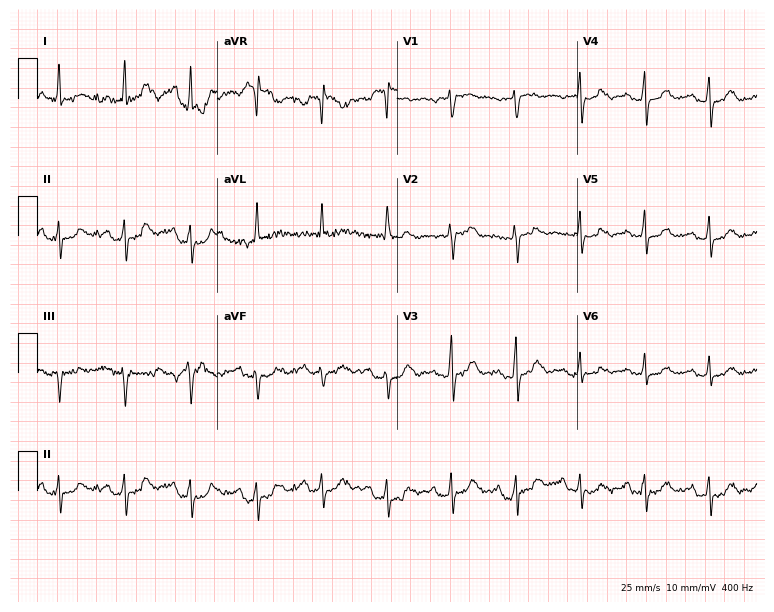
ECG (7.3-second recording at 400 Hz) — a 62-year-old female. Screened for six findings — first-degree AV block, right bundle branch block, left bundle branch block, sinus bradycardia, atrial fibrillation, sinus tachycardia — none is recorded. Only these six findings were labelled.